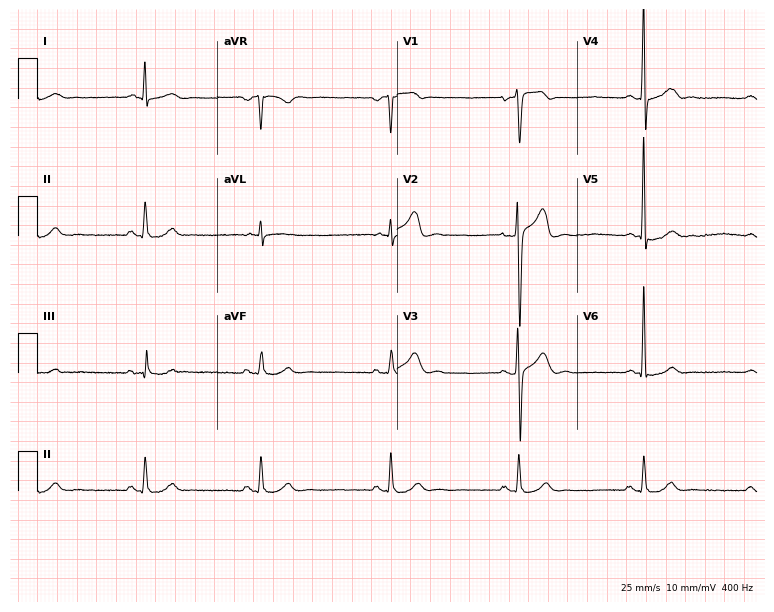
Resting 12-lead electrocardiogram (7.3-second recording at 400 Hz). Patient: a 47-year-old male. The tracing shows sinus bradycardia (a sinus rate of 50 beats per minute or less).